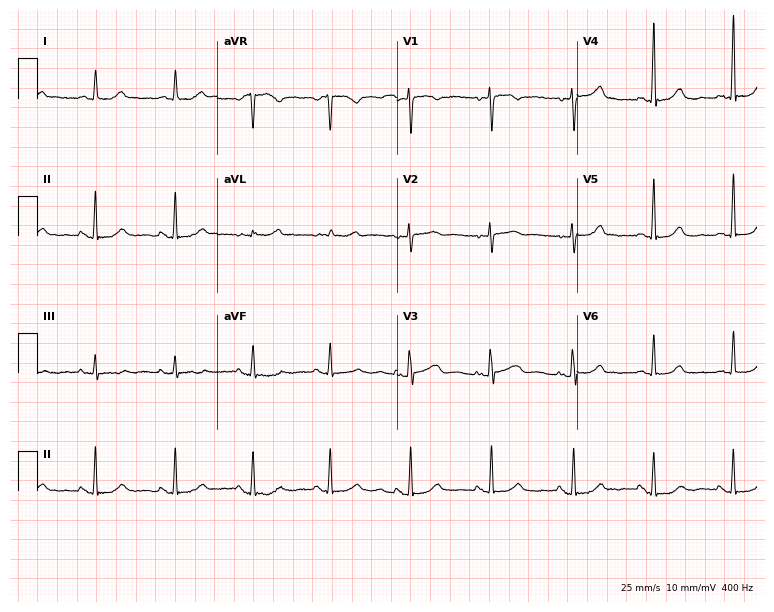
Standard 12-lead ECG recorded from a 61-year-old woman. None of these six findings is recorded: first-degree AV block, right bundle branch block, left bundle branch block, sinus bradycardia, atrial fibrillation, sinus tachycardia. Other findings, if any, are not listed.